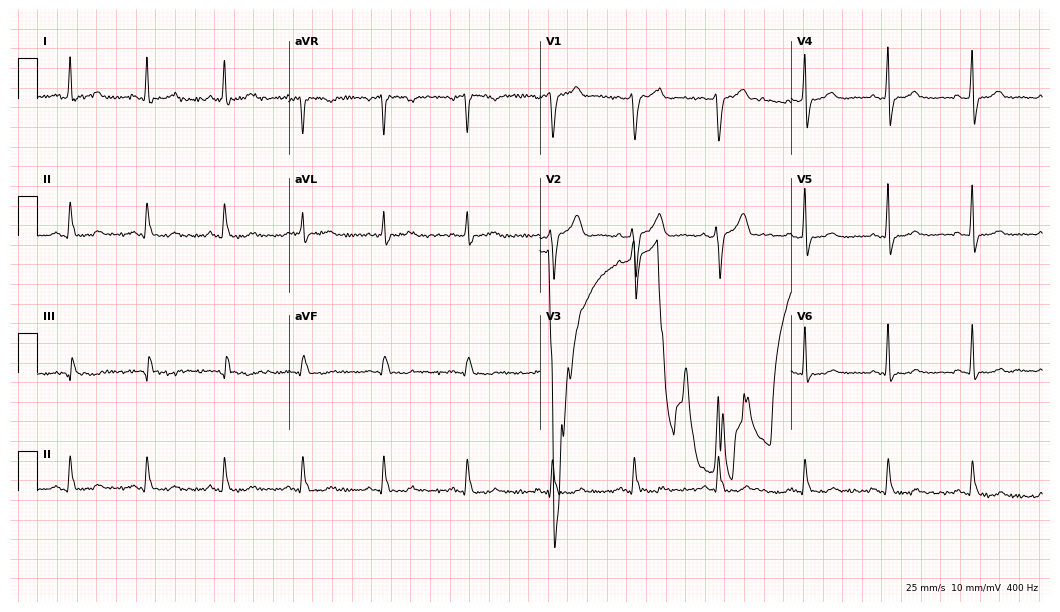
Resting 12-lead electrocardiogram (10.2-second recording at 400 Hz). Patient: a 37-year-old female. None of these six findings is recorded: first-degree AV block, right bundle branch block, left bundle branch block, sinus bradycardia, atrial fibrillation, sinus tachycardia.